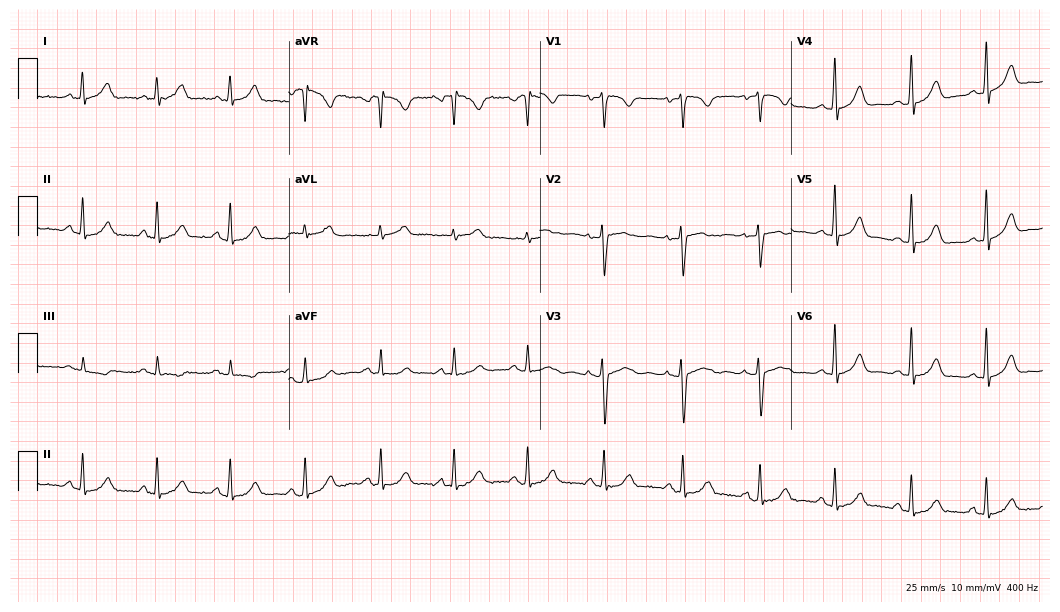
12-lead ECG from a 40-year-old female patient. Labelled as a normal ECG.